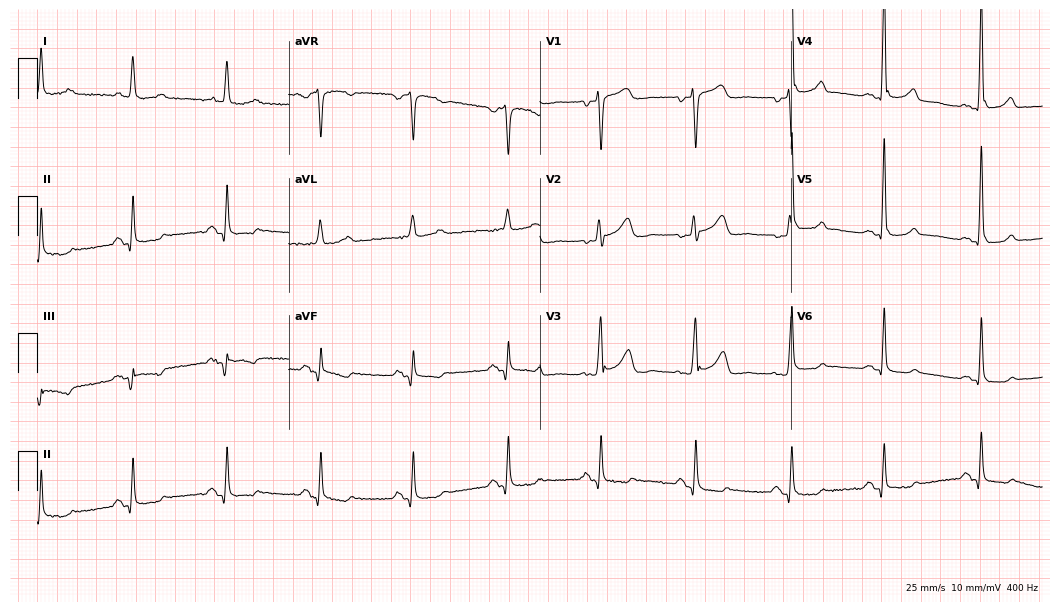
Standard 12-lead ECG recorded from a 69-year-old female. None of these six findings is recorded: first-degree AV block, right bundle branch block, left bundle branch block, sinus bradycardia, atrial fibrillation, sinus tachycardia.